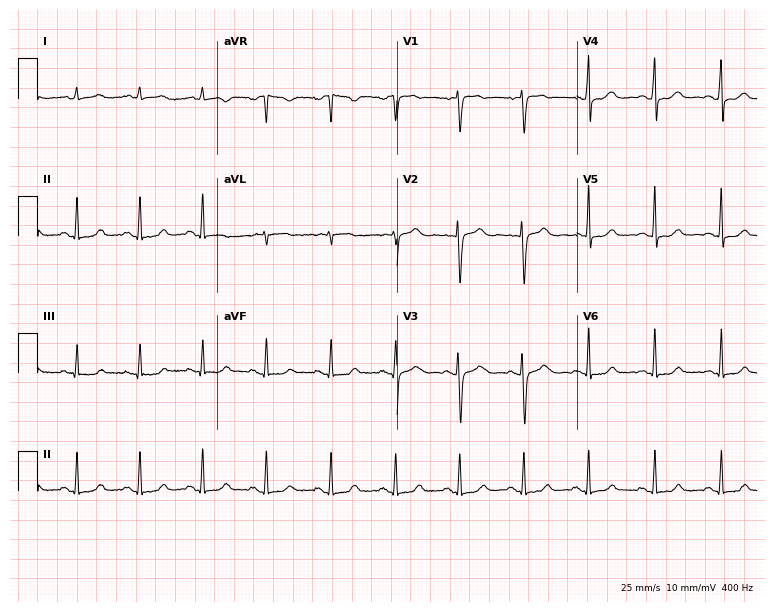
12-lead ECG from a woman, 40 years old. Labelled as a normal ECG.